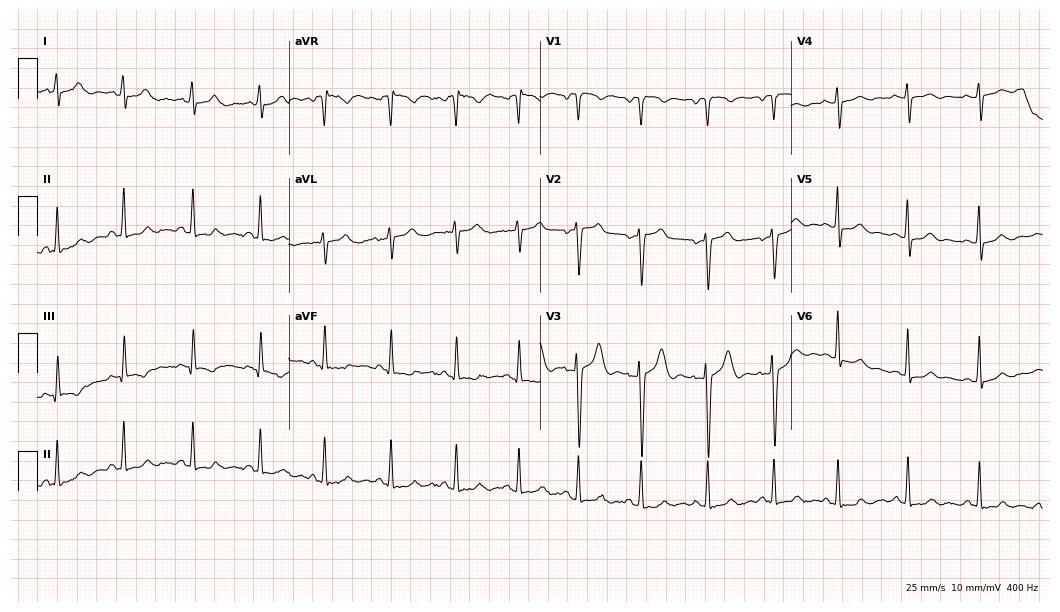
12-lead ECG (10.2-second recording at 400 Hz) from a female patient, 17 years old. Labelled as a normal ECG.